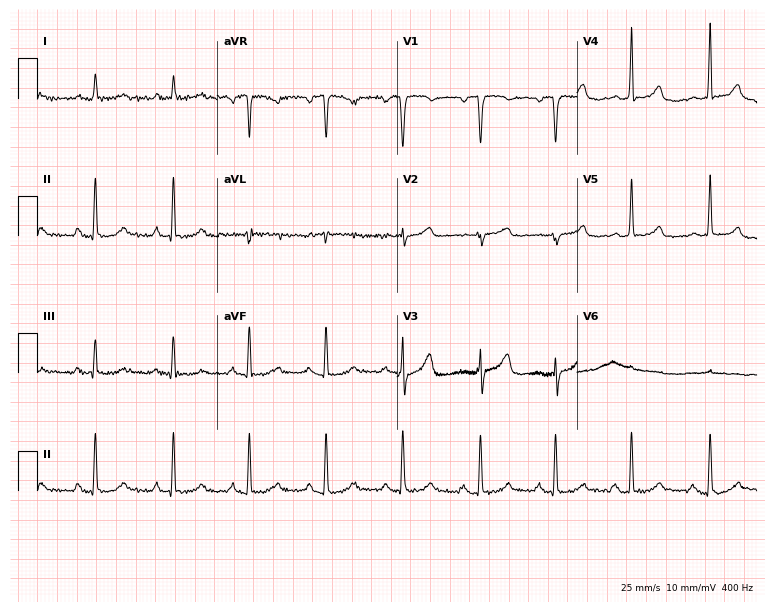
12-lead ECG from a 49-year-old female. Screened for six findings — first-degree AV block, right bundle branch block, left bundle branch block, sinus bradycardia, atrial fibrillation, sinus tachycardia — none is recorded. Only these six findings were labelled.